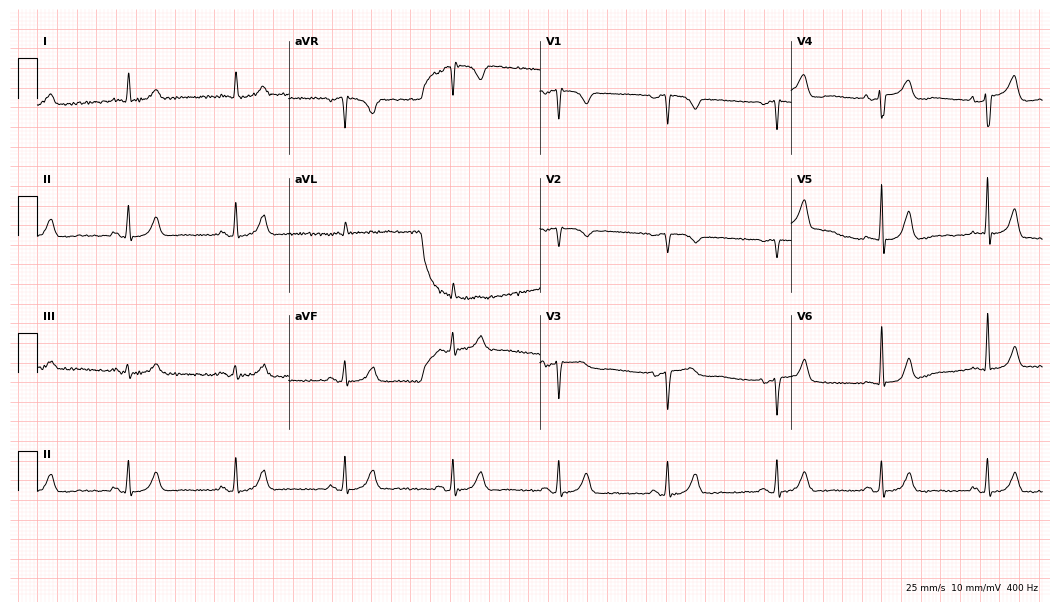
12-lead ECG (10.2-second recording at 400 Hz) from a man, 86 years old. Screened for six findings — first-degree AV block, right bundle branch block, left bundle branch block, sinus bradycardia, atrial fibrillation, sinus tachycardia — none is recorded. Findings outside these six are not listed.